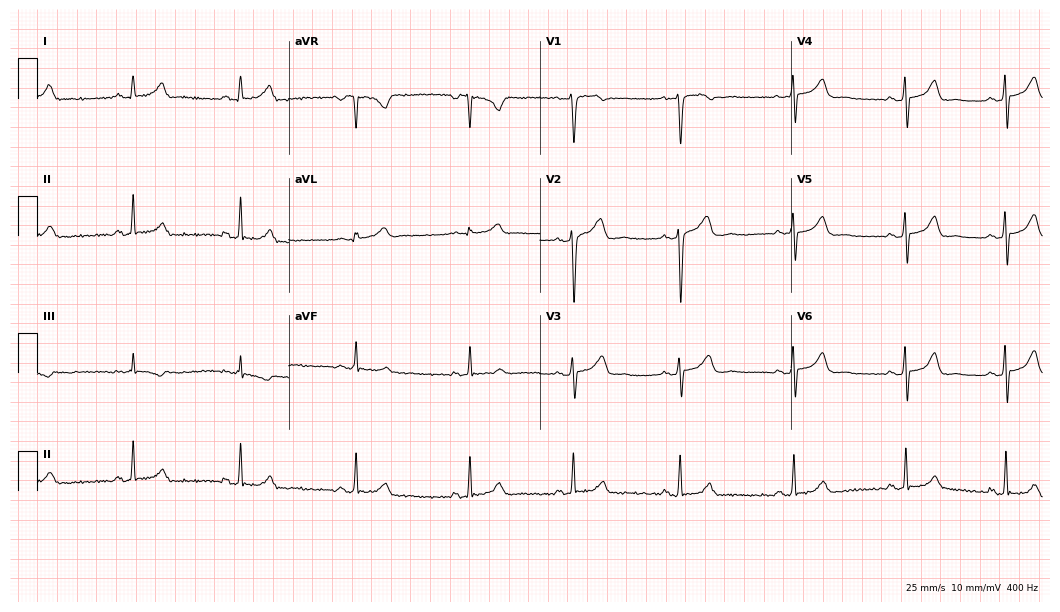
ECG — a 42-year-old female. Labelled as a normal ECG.